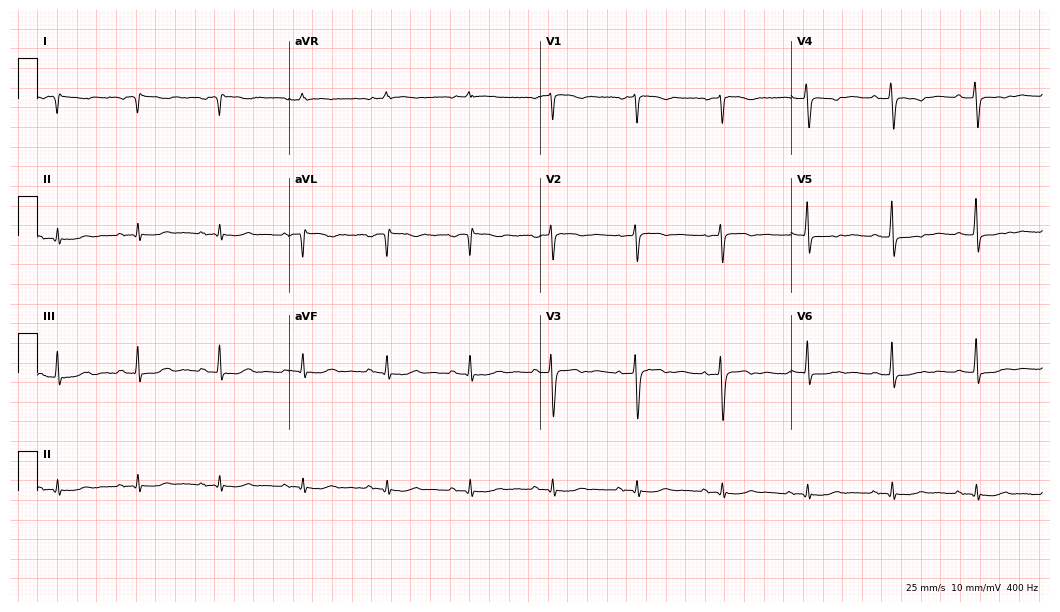
Standard 12-lead ECG recorded from a female, 56 years old (10.2-second recording at 400 Hz). None of these six findings is recorded: first-degree AV block, right bundle branch block (RBBB), left bundle branch block (LBBB), sinus bradycardia, atrial fibrillation (AF), sinus tachycardia. Other findings, if any, are not listed.